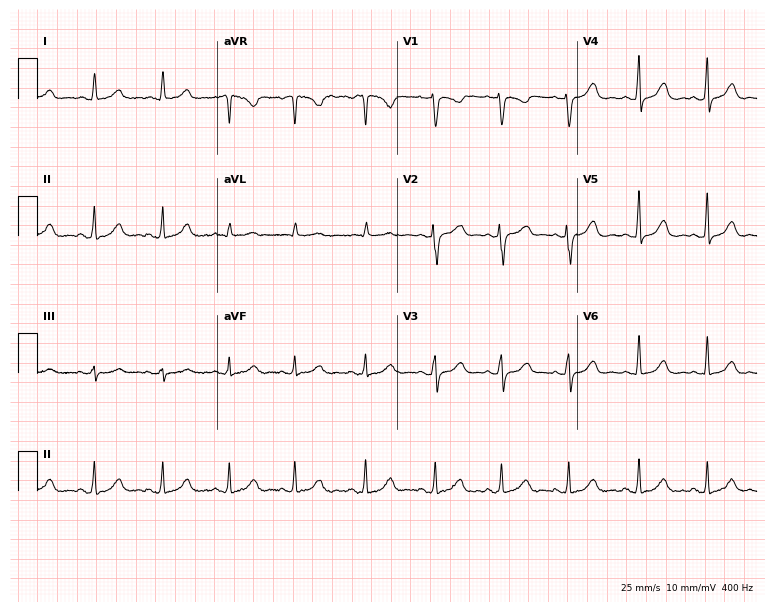
Standard 12-lead ECG recorded from a female patient, 47 years old (7.3-second recording at 400 Hz). Read as a normal ECG.